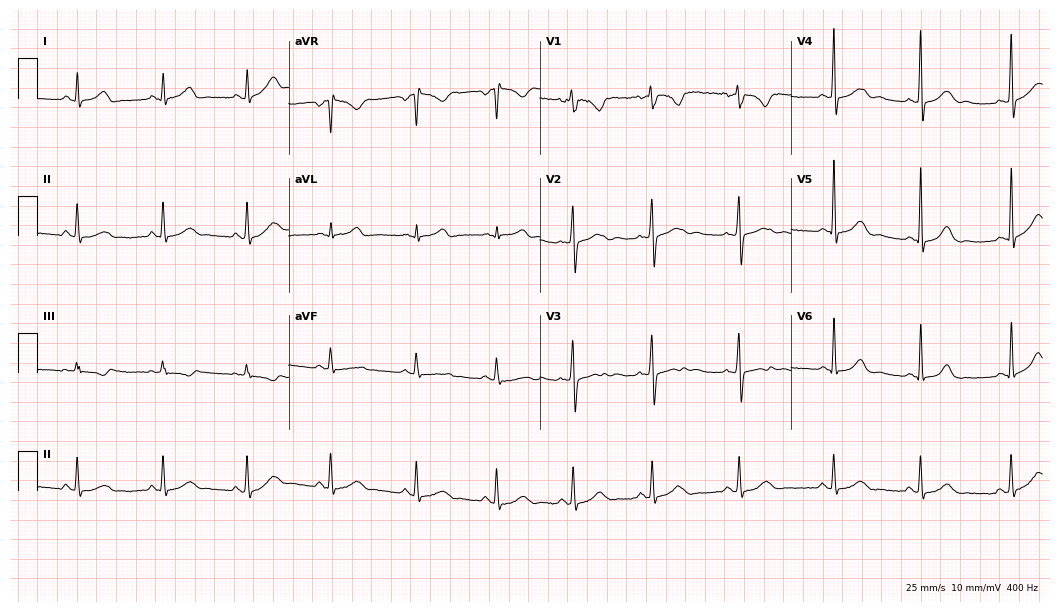
Resting 12-lead electrocardiogram (10.2-second recording at 400 Hz). Patient: a female, 37 years old. Read as a normal ECG.